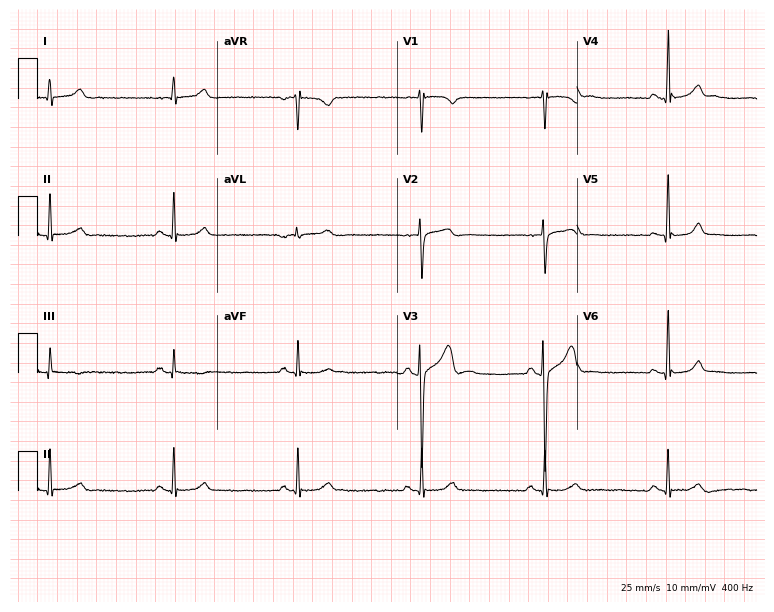
12-lead ECG from a male, 18 years old. No first-degree AV block, right bundle branch block, left bundle branch block, sinus bradycardia, atrial fibrillation or sinus tachycardia recorded for this tracing.